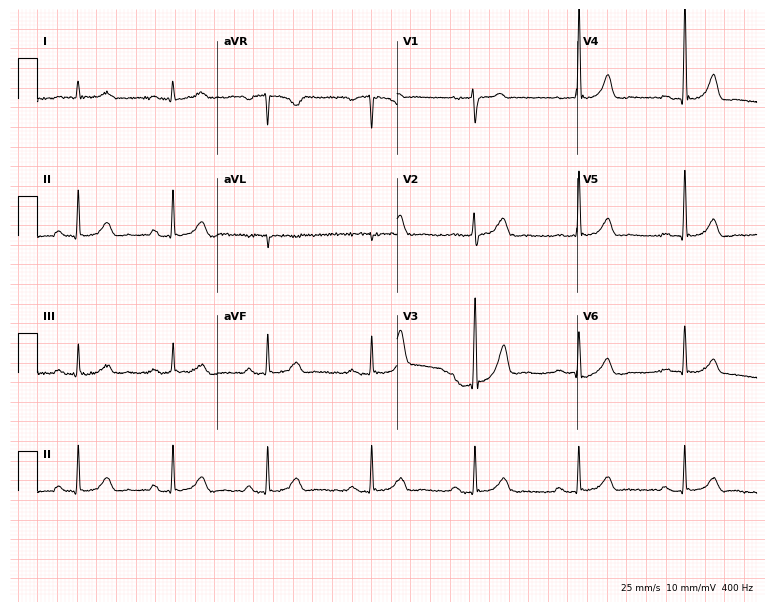
Standard 12-lead ECG recorded from a man, 68 years old (7.3-second recording at 400 Hz). Read as a normal ECG.